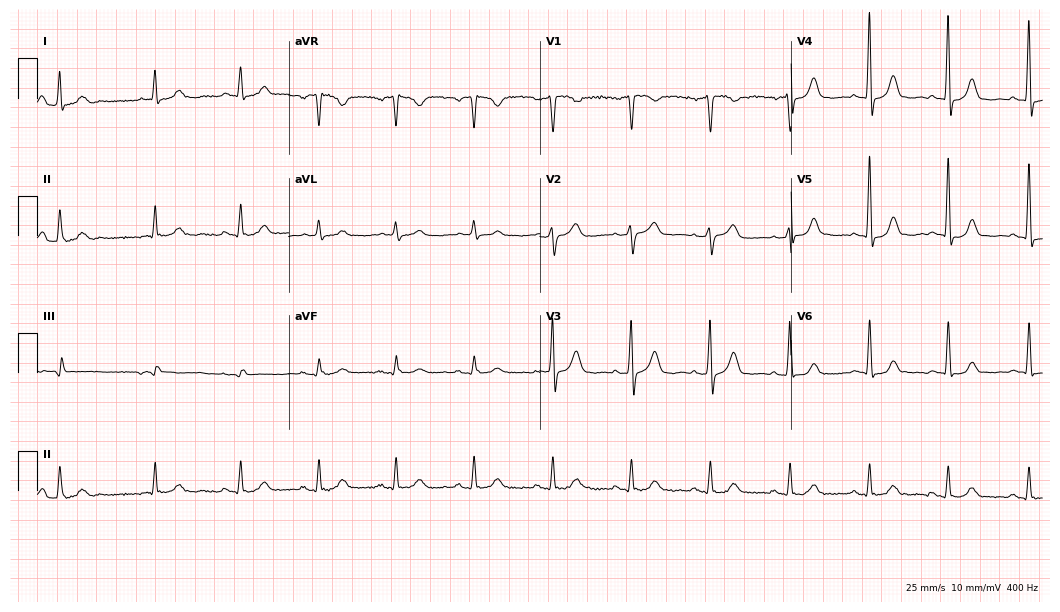
ECG (10.2-second recording at 400 Hz) — a woman, 64 years old. Screened for six findings — first-degree AV block, right bundle branch block, left bundle branch block, sinus bradycardia, atrial fibrillation, sinus tachycardia — none is recorded.